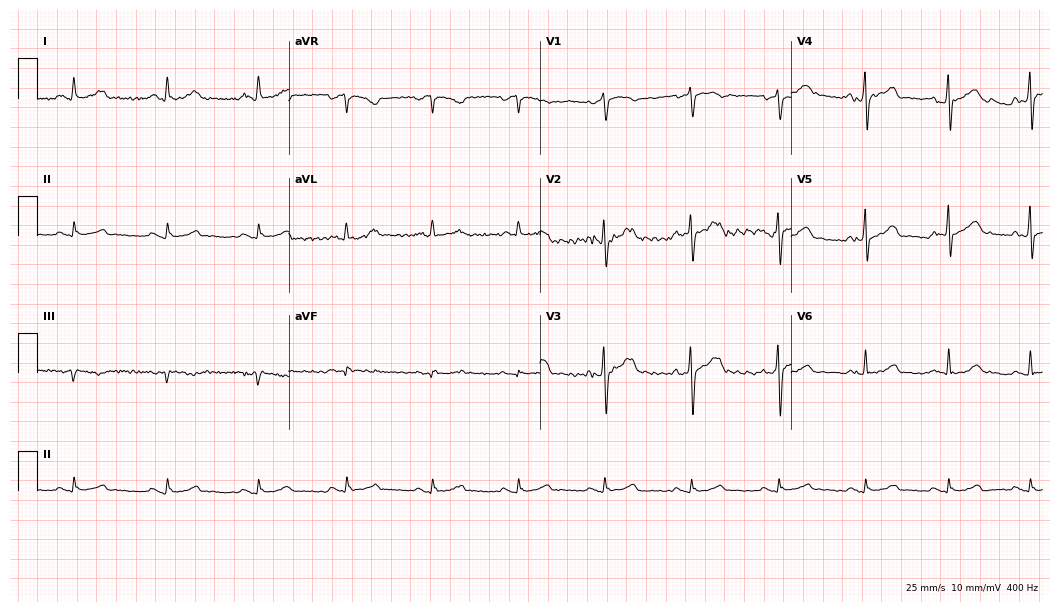
12-lead ECG (10.2-second recording at 400 Hz) from a male, 41 years old. Labelled as a normal ECG.